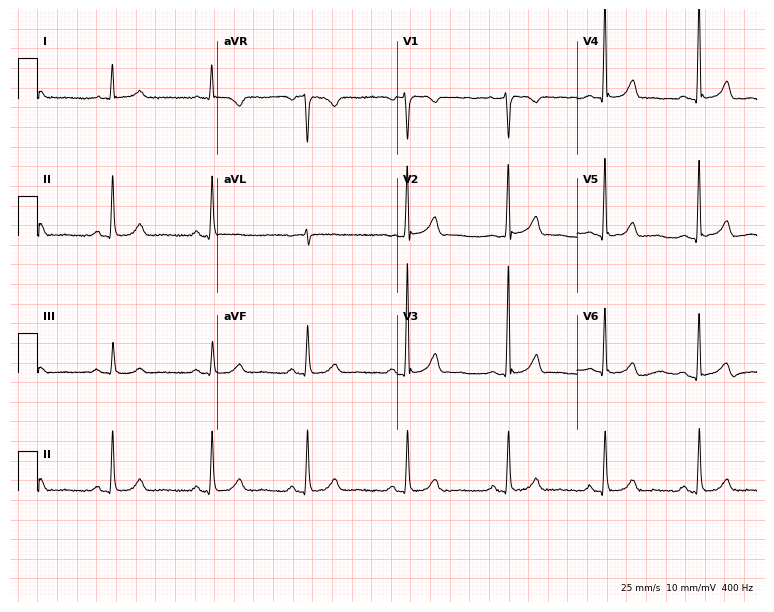
Standard 12-lead ECG recorded from a female, 57 years old (7.3-second recording at 400 Hz). Read as a normal ECG.